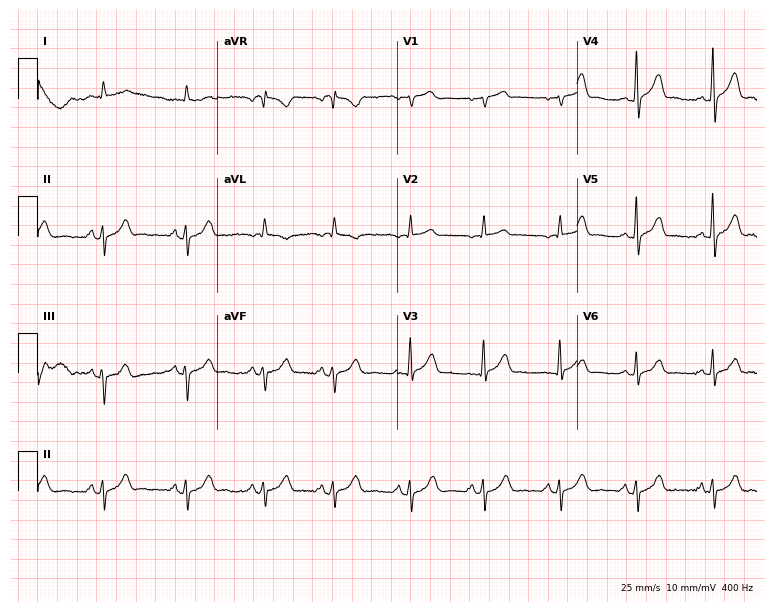
Standard 12-lead ECG recorded from an 80-year-old male patient (7.3-second recording at 400 Hz). None of these six findings is recorded: first-degree AV block, right bundle branch block (RBBB), left bundle branch block (LBBB), sinus bradycardia, atrial fibrillation (AF), sinus tachycardia.